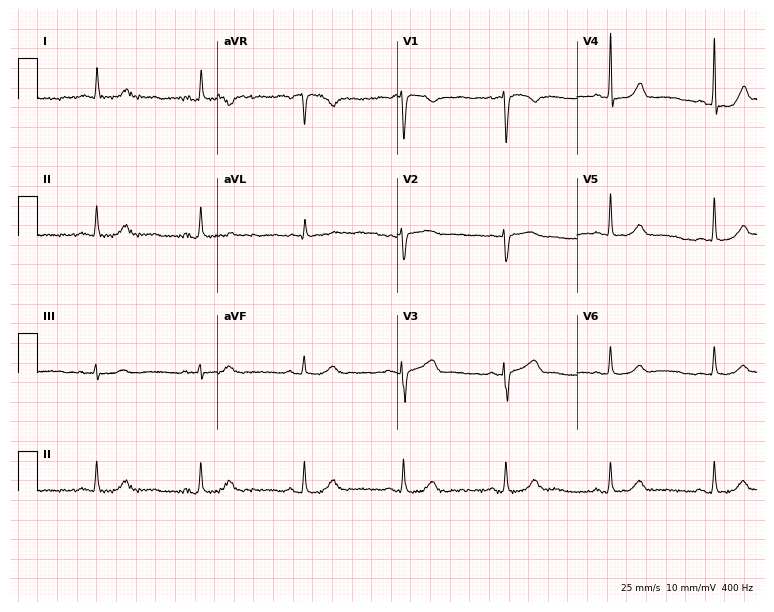
12-lead ECG from a female patient, 56 years old. No first-degree AV block, right bundle branch block, left bundle branch block, sinus bradycardia, atrial fibrillation or sinus tachycardia recorded for this tracing.